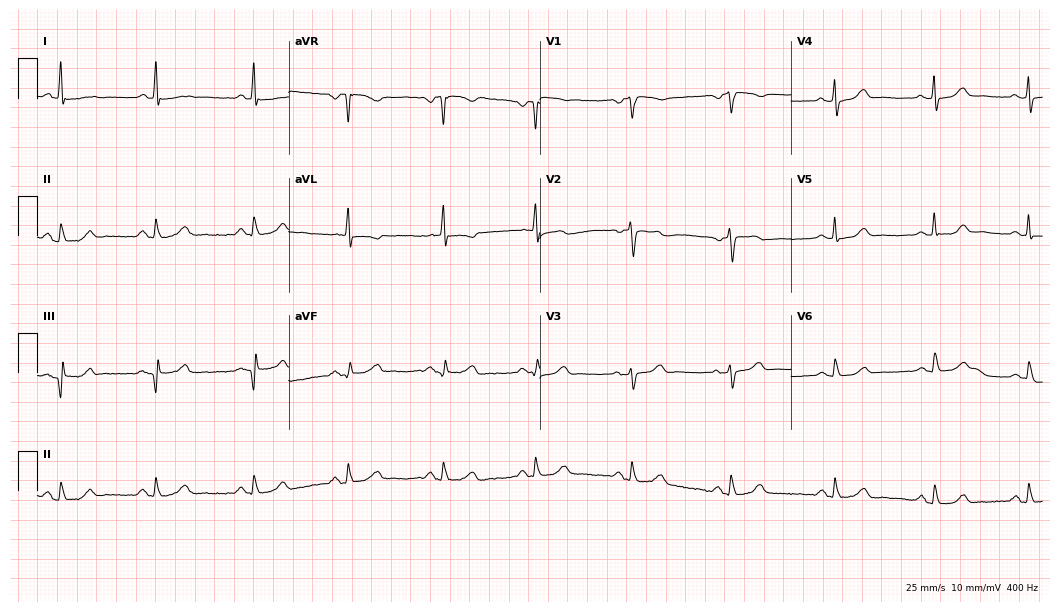
ECG — a 61-year-old female. Screened for six findings — first-degree AV block, right bundle branch block, left bundle branch block, sinus bradycardia, atrial fibrillation, sinus tachycardia — none is recorded. Other findings, if any, are not listed.